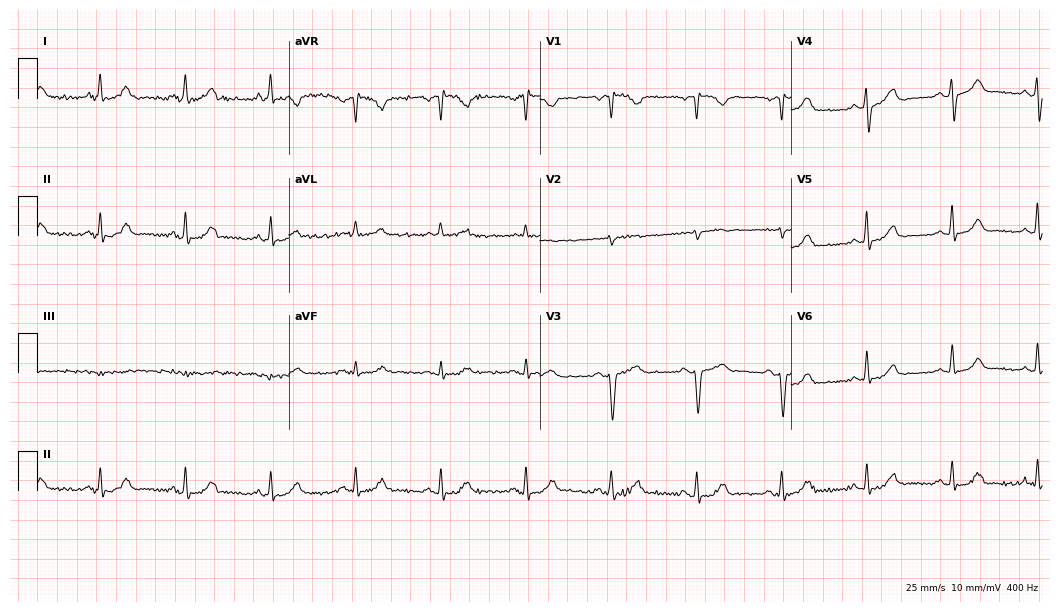
Standard 12-lead ECG recorded from a 73-year-old man. Read as a normal ECG.